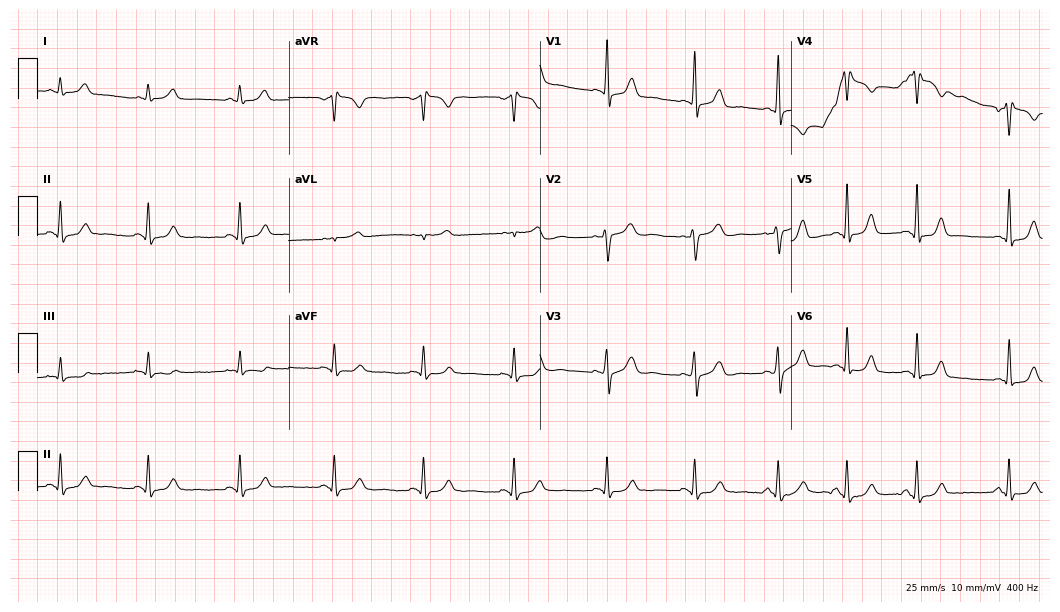
ECG — a 39-year-old female patient. Screened for six findings — first-degree AV block, right bundle branch block (RBBB), left bundle branch block (LBBB), sinus bradycardia, atrial fibrillation (AF), sinus tachycardia — none is recorded.